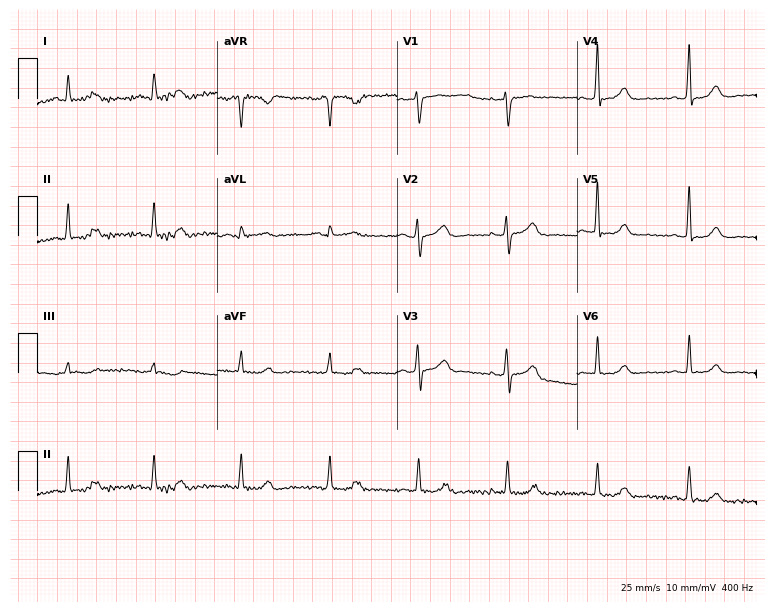
Electrocardiogram (7.3-second recording at 400 Hz), a female patient, 55 years old. Of the six screened findings (first-degree AV block, right bundle branch block, left bundle branch block, sinus bradycardia, atrial fibrillation, sinus tachycardia), none is recorded.